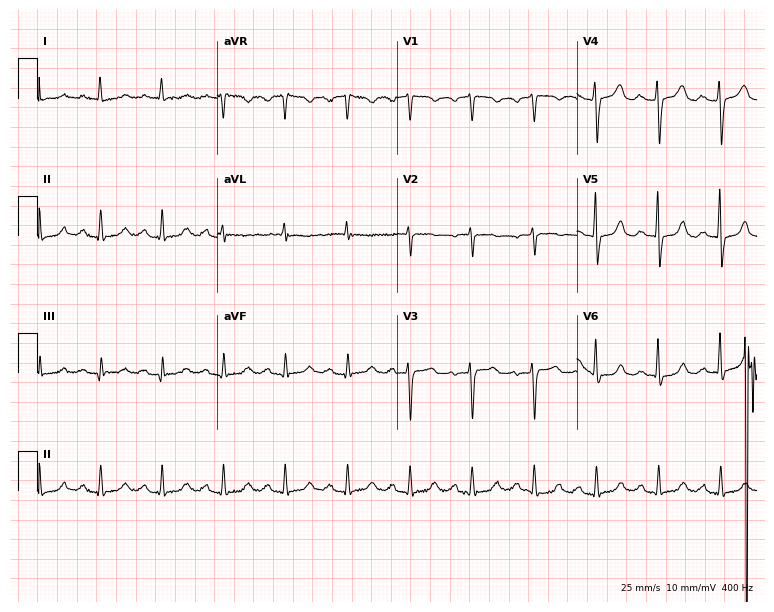
Standard 12-lead ECG recorded from a 79-year-old female. Read as a normal ECG.